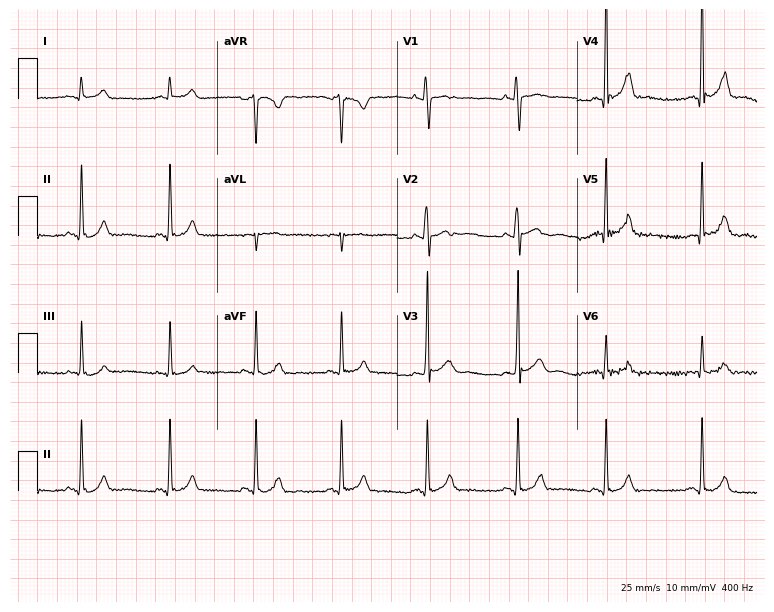
12-lead ECG from a male, 19 years old (7.3-second recording at 400 Hz). No first-degree AV block, right bundle branch block (RBBB), left bundle branch block (LBBB), sinus bradycardia, atrial fibrillation (AF) or sinus tachycardia recorded for this tracing.